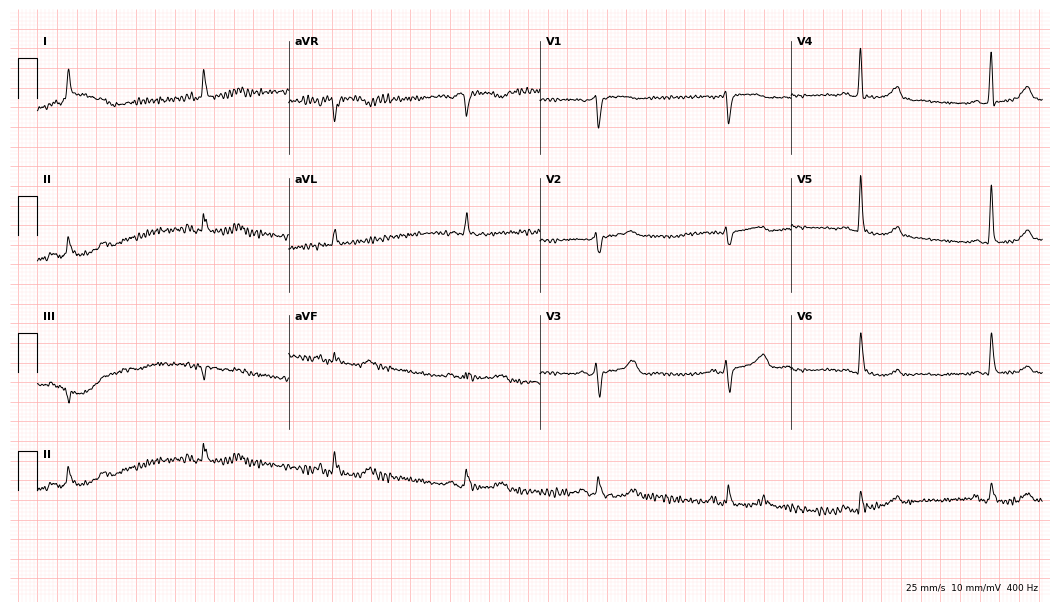
Electrocardiogram, a 74-year-old male. Of the six screened findings (first-degree AV block, right bundle branch block (RBBB), left bundle branch block (LBBB), sinus bradycardia, atrial fibrillation (AF), sinus tachycardia), none is recorded.